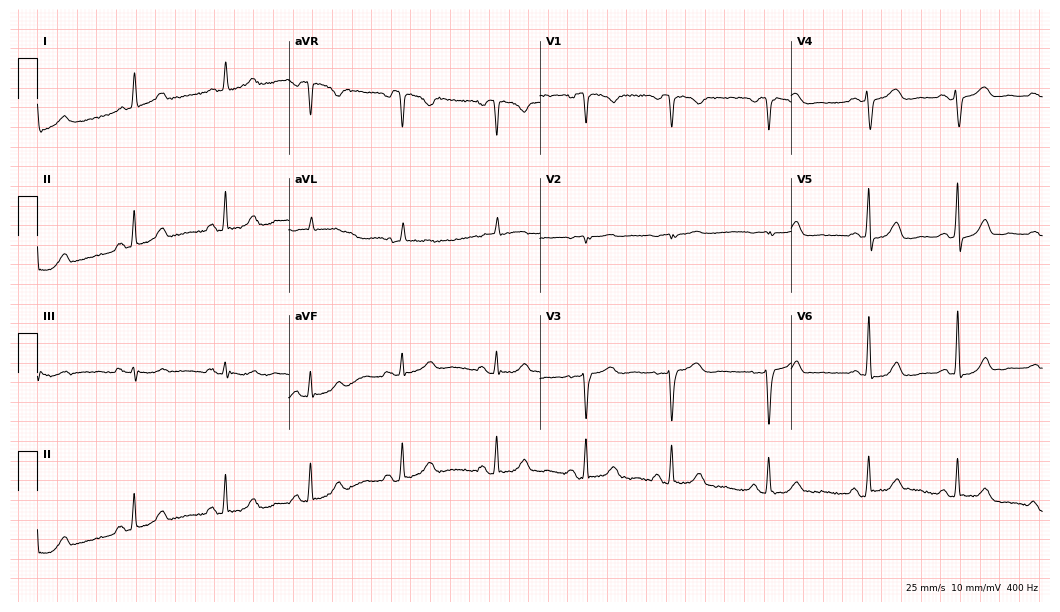
12-lead ECG from a 65-year-old female patient (10.2-second recording at 400 Hz). Recorded interpretation: within normal limits.